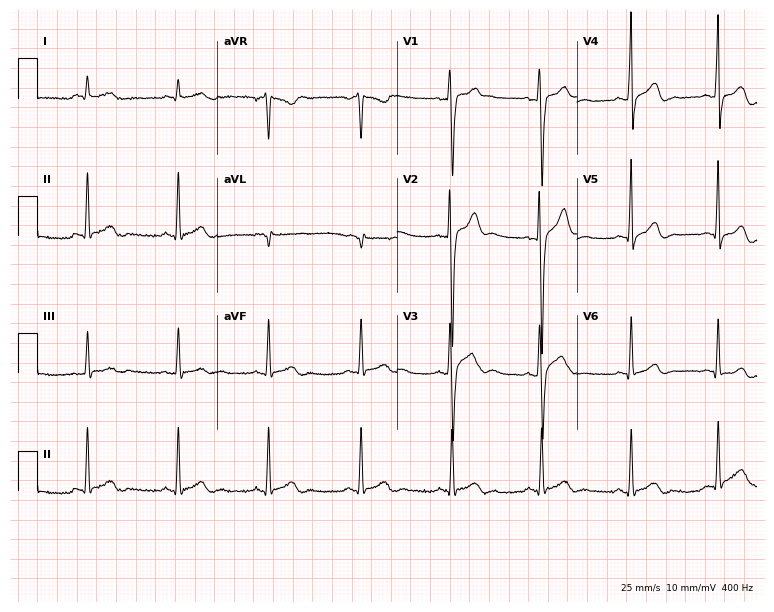
12-lead ECG from a male, 26 years old (7.3-second recording at 400 Hz). Recorded interpretation: within normal limits.